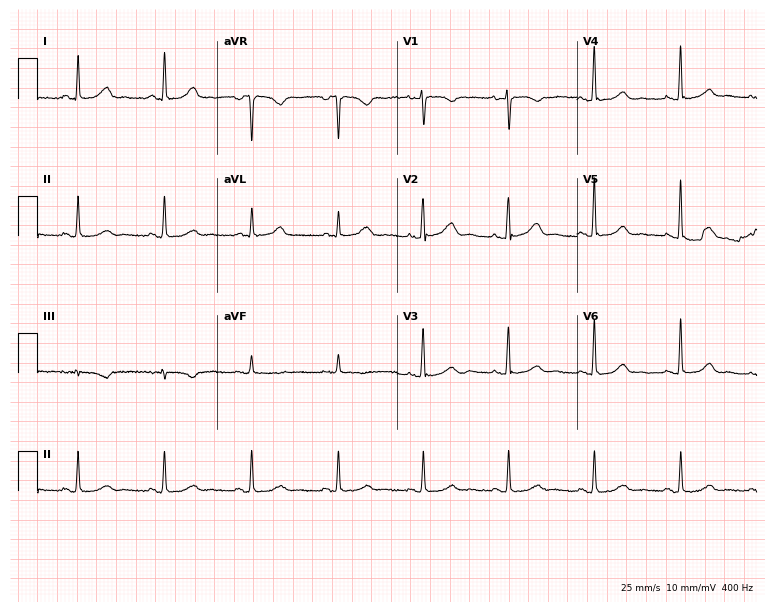
12-lead ECG from a female, 57 years old (7.3-second recording at 400 Hz). Recorded interpretation: within normal limits.